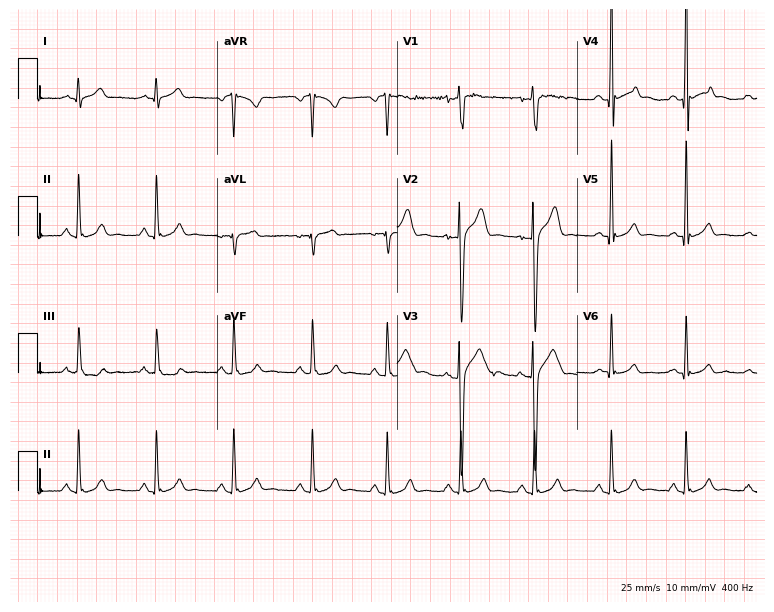
ECG (7.3-second recording at 400 Hz) — a male patient, 21 years old. Labelled as a normal ECG.